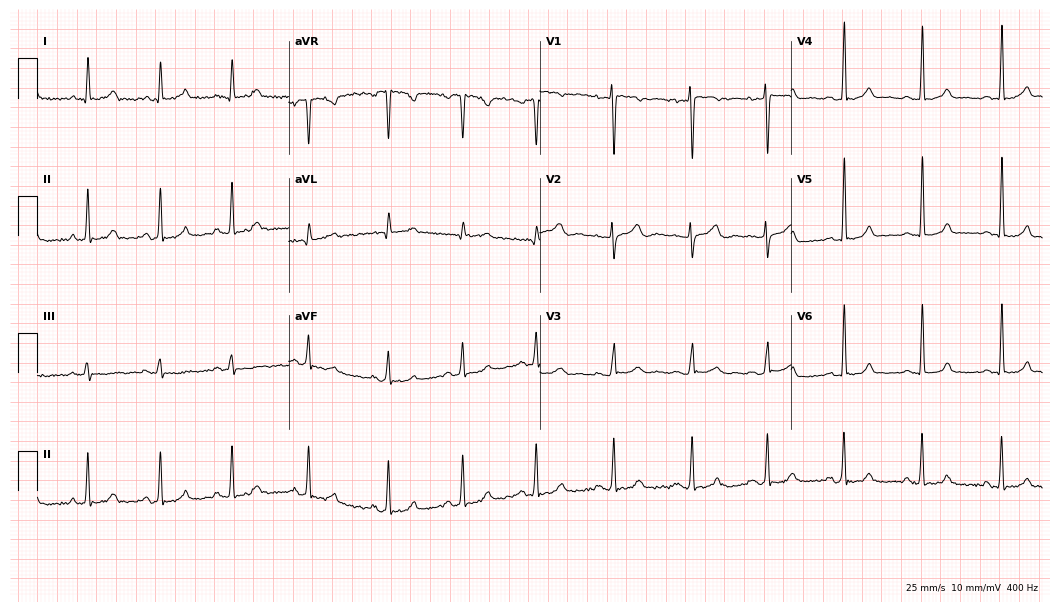
Electrocardiogram (10.2-second recording at 400 Hz), a 40-year-old female patient. Overall reading on record: normal ECG.